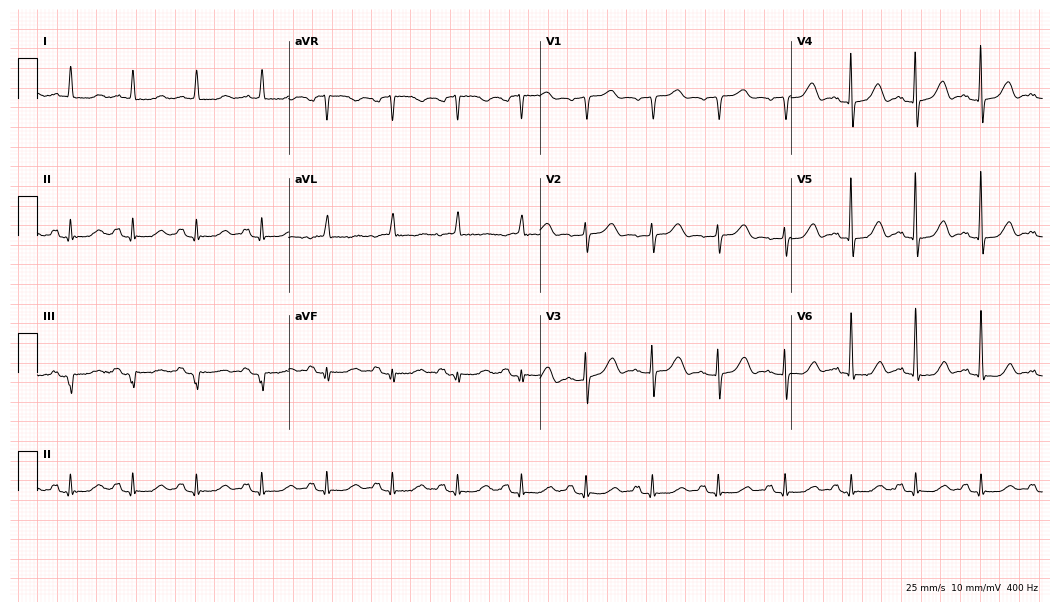
12-lead ECG from a female, 80 years old. Labelled as a normal ECG.